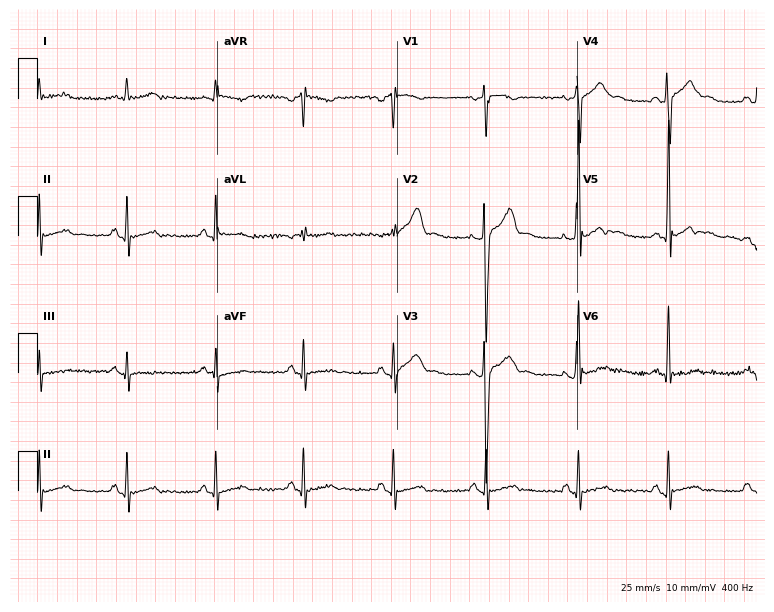
Resting 12-lead electrocardiogram (7.3-second recording at 400 Hz). Patient: a male, 33 years old. Read as a normal ECG.